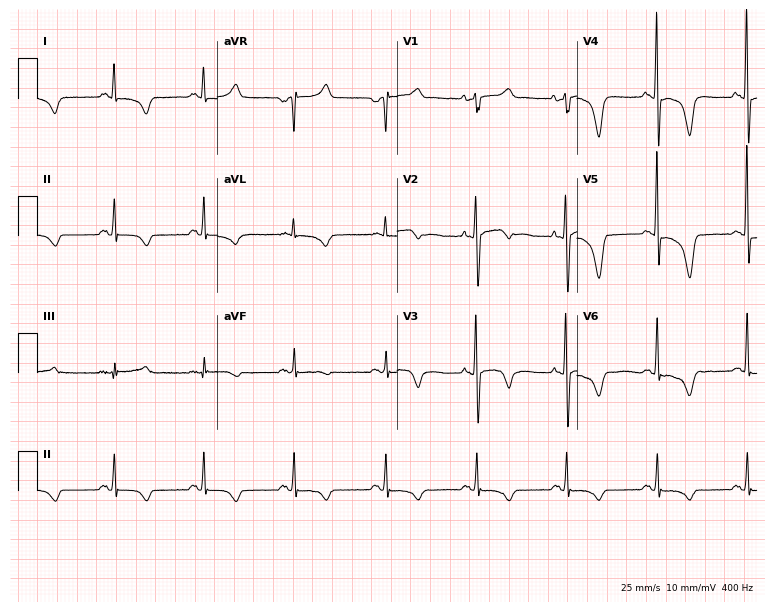
Electrocardiogram (7.3-second recording at 400 Hz), a 59-year-old female. Of the six screened findings (first-degree AV block, right bundle branch block, left bundle branch block, sinus bradycardia, atrial fibrillation, sinus tachycardia), none is recorded. Other findings, if any, are not listed.